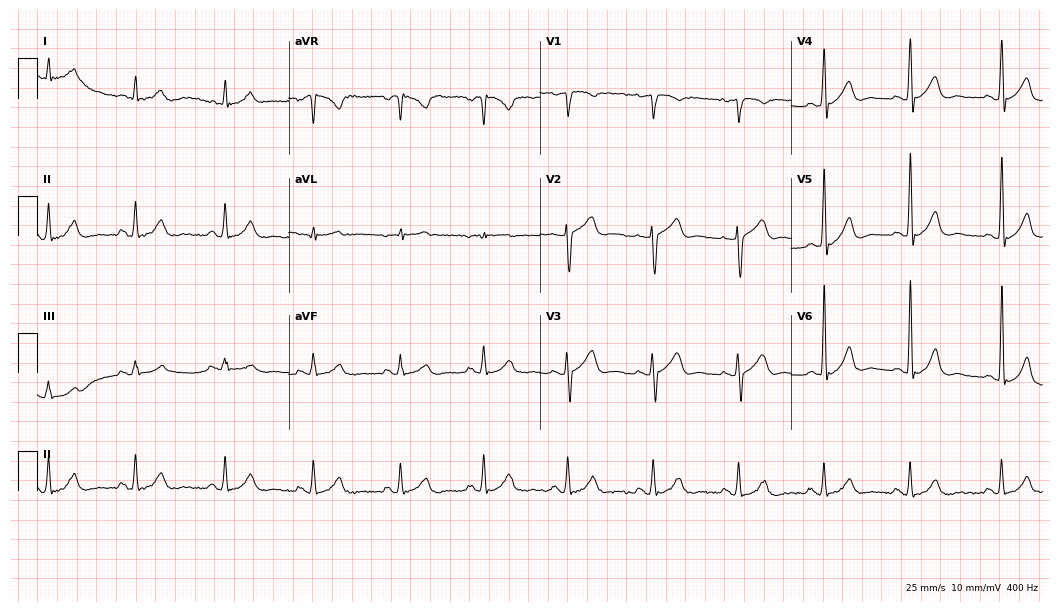
12-lead ECG from a man, 57 years old (10.2-second recording at 400 Hz). Recorded interpretation: within normal limits.